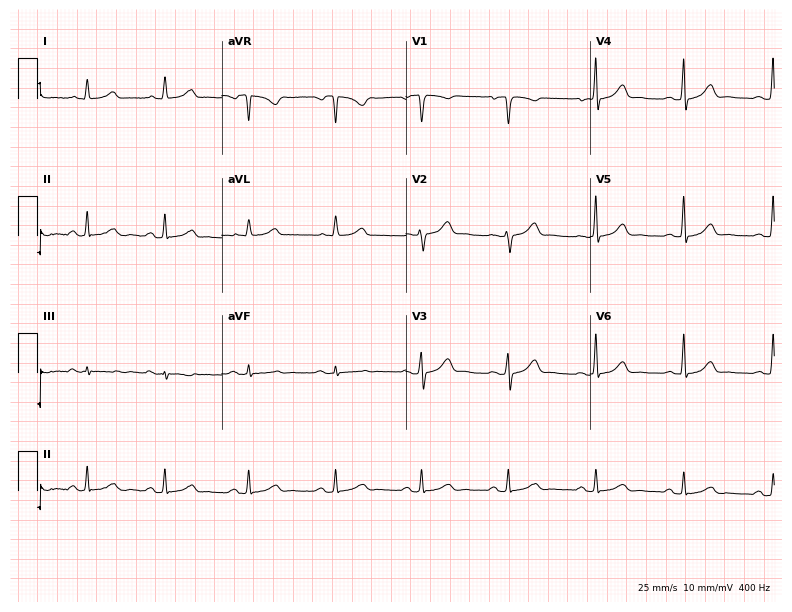
Electrocardiogram, a female patient, 40 years old. Overall reading on record: normal ECG.